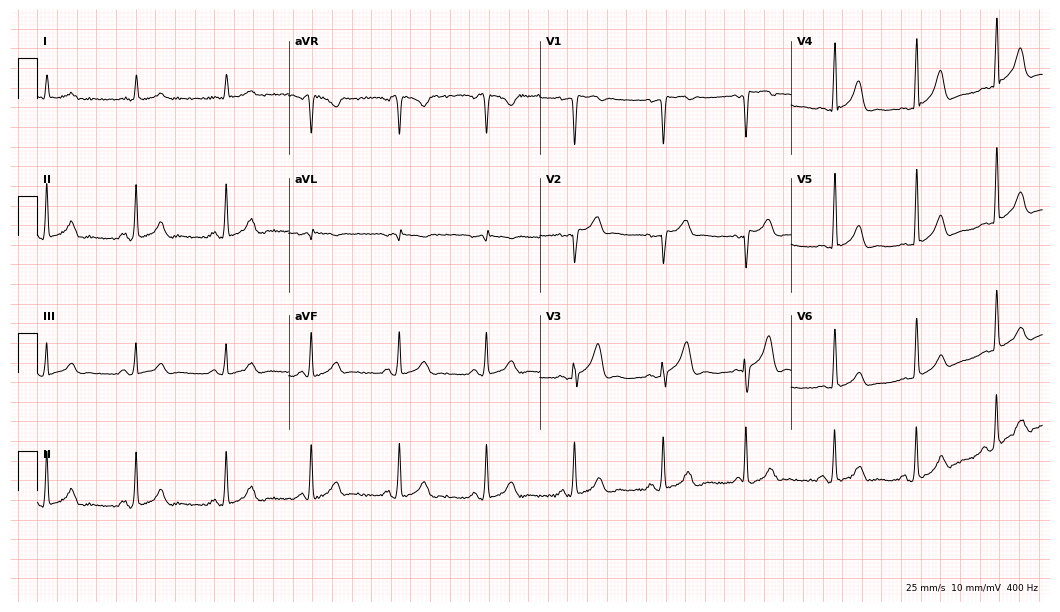
12-lead ECG (10.2-second recording at 400 Hz) from a man, 71 years old. Labelled as a normal ECG.